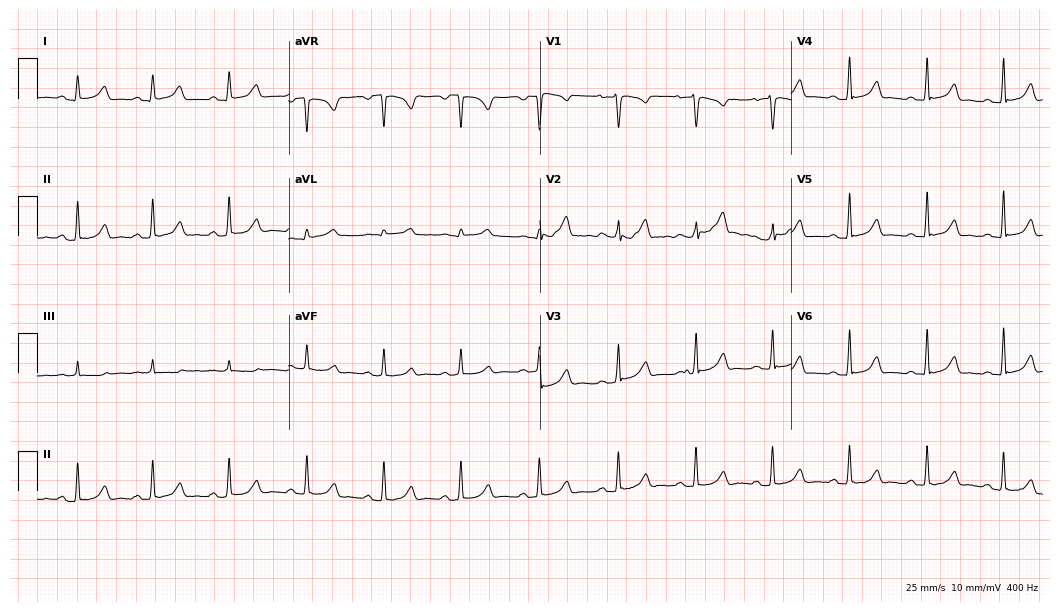
Resting 12-lead electrocardiogram. Patient: a woman, 35 years old. Read as a normal ECG.